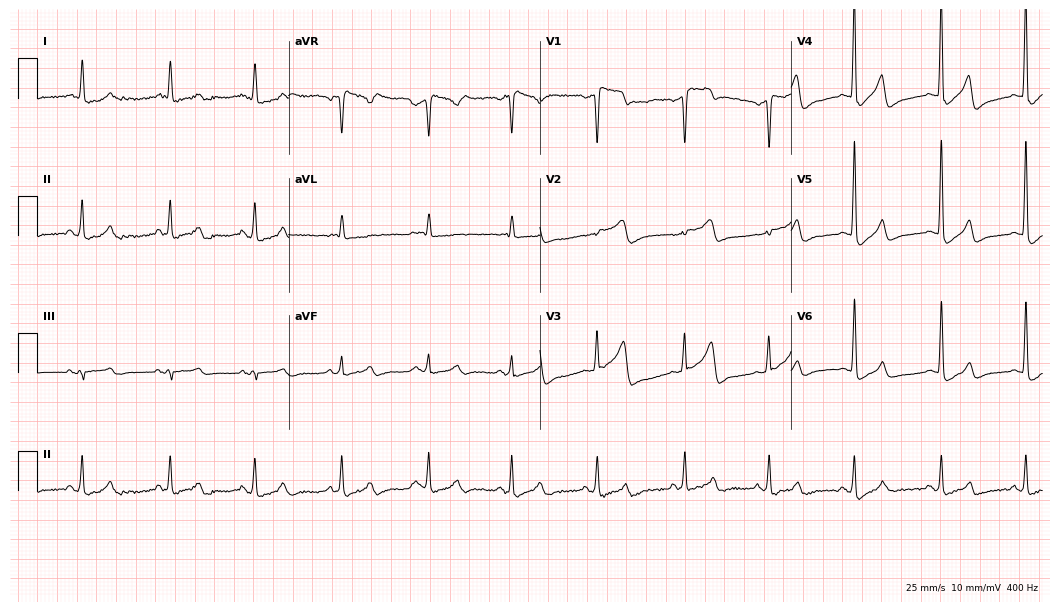
ECG (10.2-second recording at 400 Hz) — a 73-year-old female patient. Screened for six findings — first-degree AV block, right bundle branch block, left bundle branch block, sinus bradycardia, atrial fibrillation, sinus tachycardia — none is recorded.